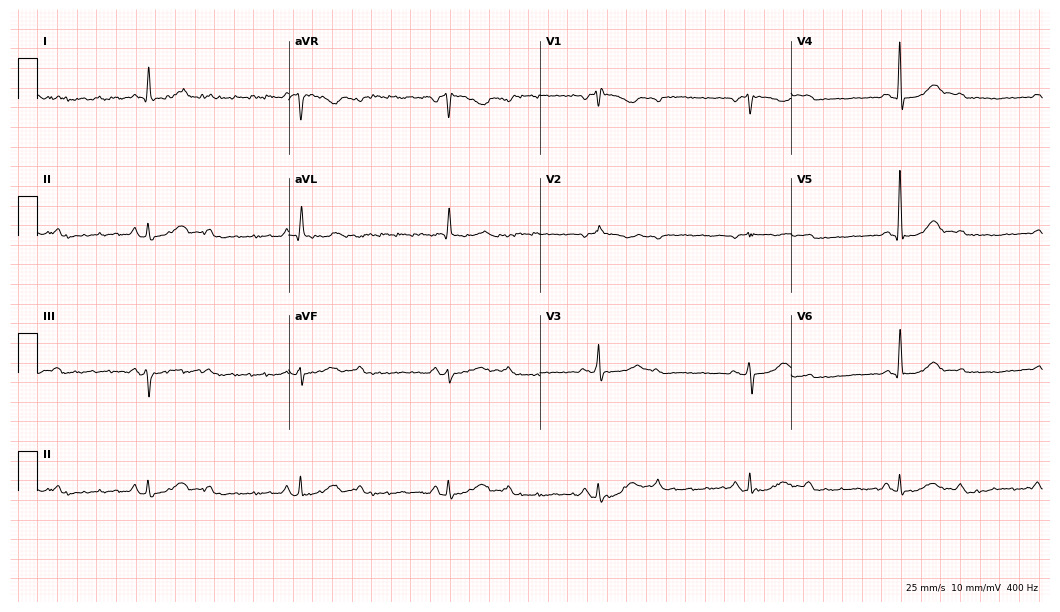
Electrocardiogram (10.2-second recording at 400 Hz), an 84-year-old woman. Of the six screened findings (first-degree AV block, right bundle branch block, left bundle branch block, sinus bradycardia, atrial fibrillation, sinus tachycardia), none is recorded. Other findings, if any, are not listed.